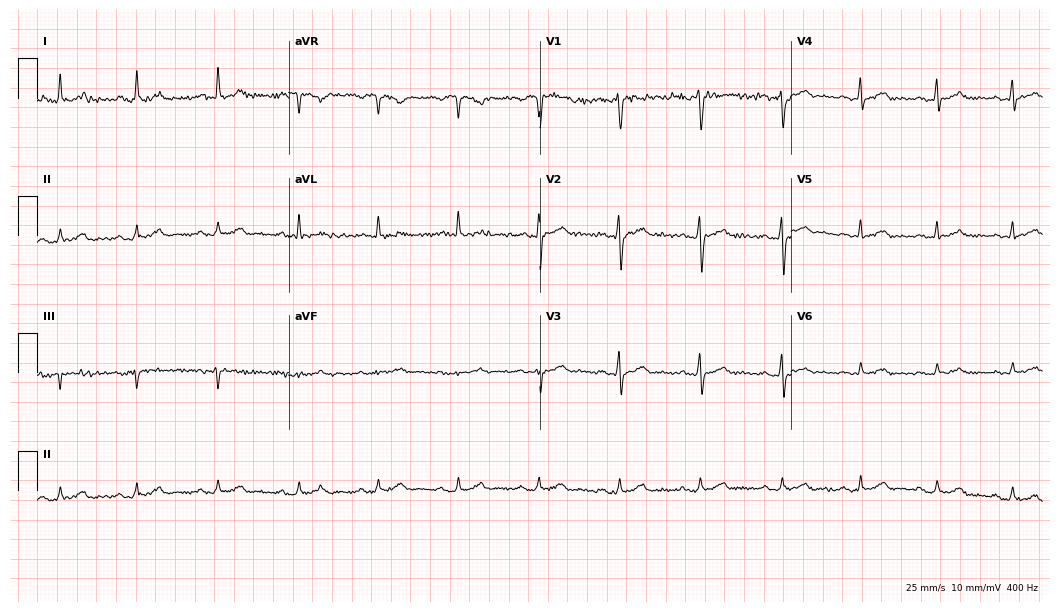
12-lead ECG from a 55-year-old man. No first-degree AV block, right bundle branch block (RBBB), left bundle branch block (LBBB), sinus bradycardia, atrial fibrillation (AF) or sinus tachycardia recorded for this tracing. Other findings, if any, are not listed.